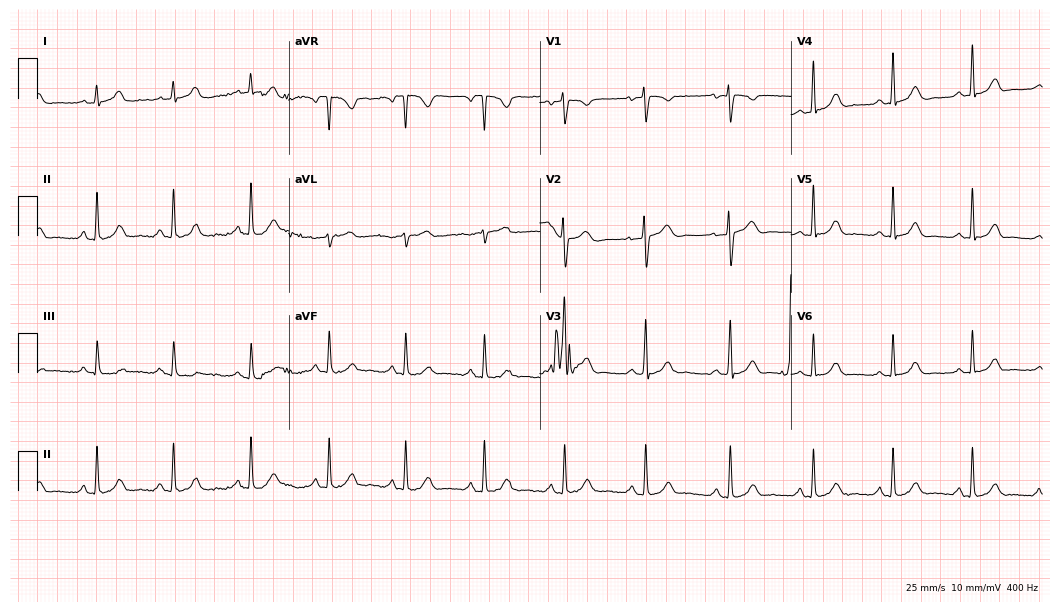
12-lead ECG from a female, 25 years old. Recorded interpretation: within normal limits.